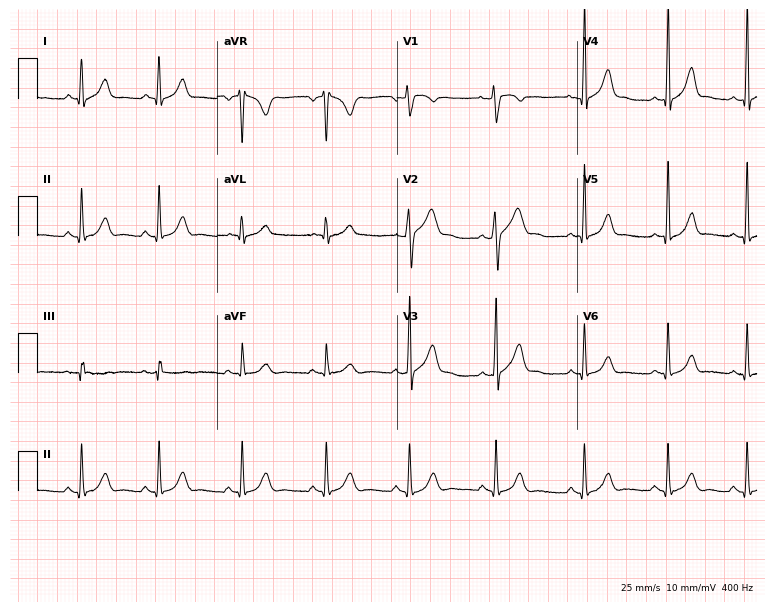
Electrocardiogram, a man, 26 years old. Overall reading on record: normal ECG.